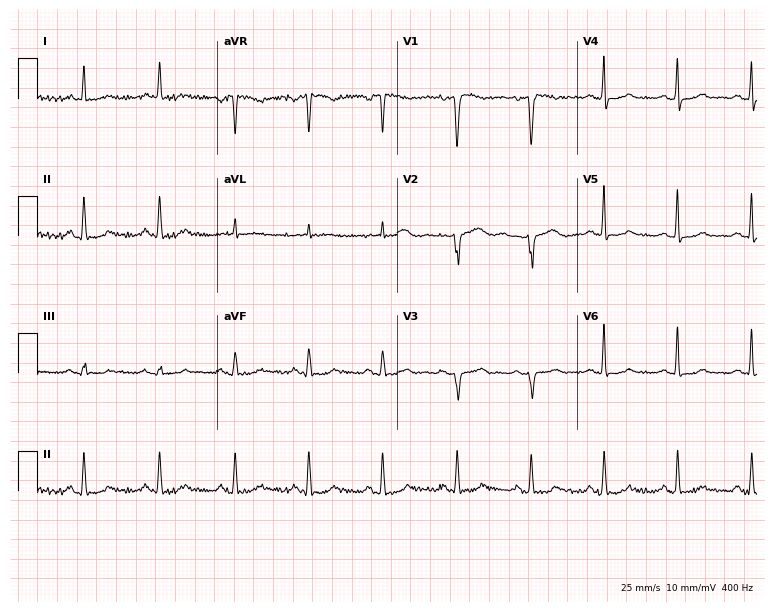
Electrocardiogram, a female patient, 50 years old. Of the six screened findings (first-degree AV block, right bundle branch block, left bundle branch block, sinus bradycardia, atrial fibrillation, sinus tachycardia), none is recorded.